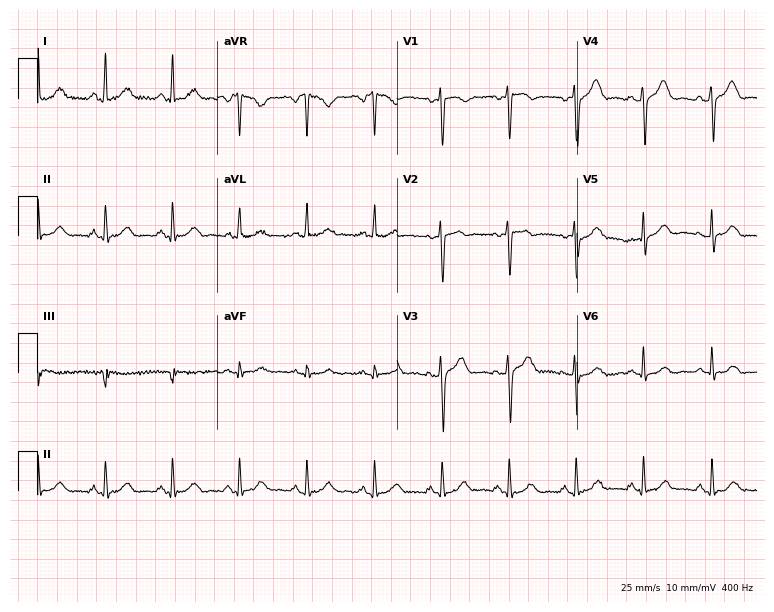
Electrocardiogram (7.3-second recording at 400 Hz), a 38-year-old female. Overall reading on record: normal ECG.